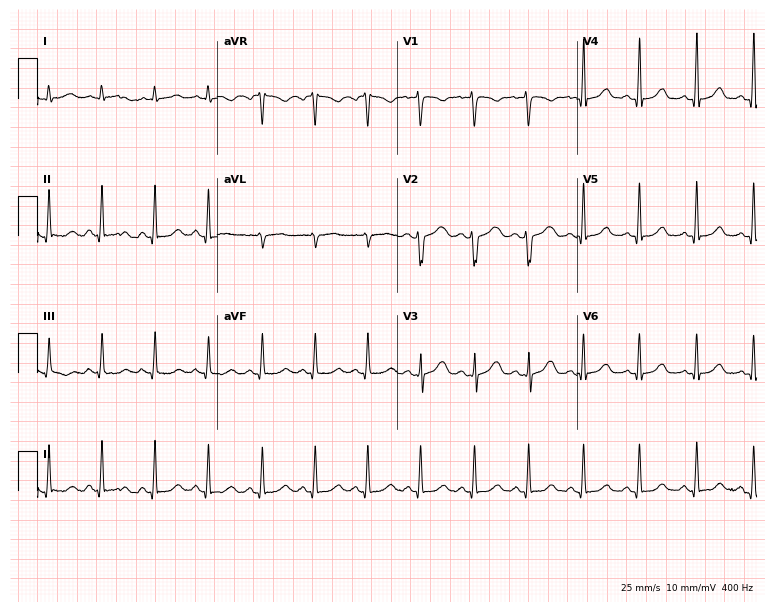
ECG — a 37-year-old woman. Findings include sinus tachycardia (a sinus rate of 100 beats per minute or more).